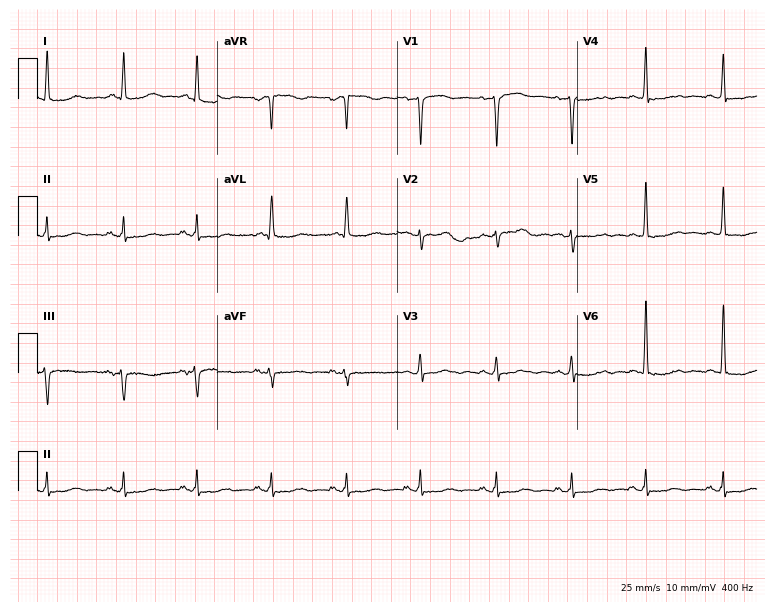
Electrocardiogram (7.3-second recording at 400 Hz), a female patient, 62 years old. Of the six screened findings (first-degree AV block, right bundle branch block (RBBB), left bundle branch block (LBBB), sinus bradycardia, atrial fibrillation (AF), sinus tachycardia), none is recorded. Findings outside these six are not listed.